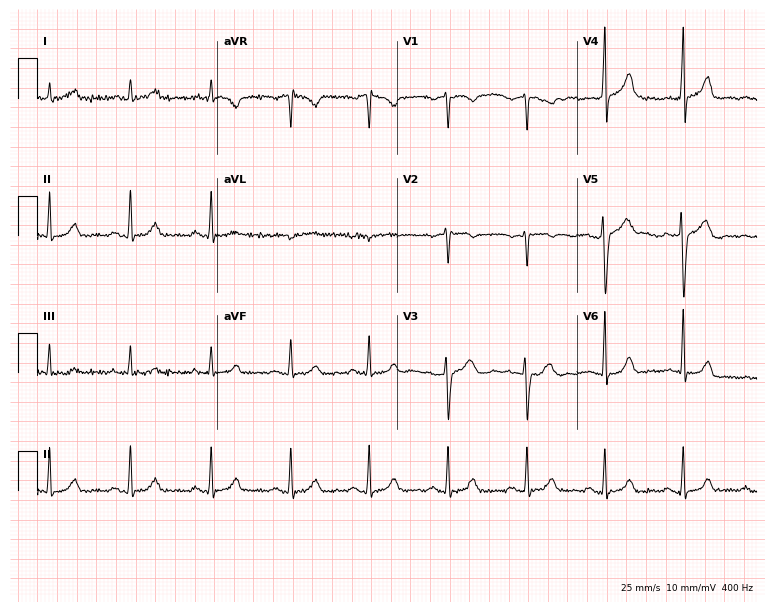
Standard 12-lead ECG recorded from a male, 40 years old. Read as a normal ECG.